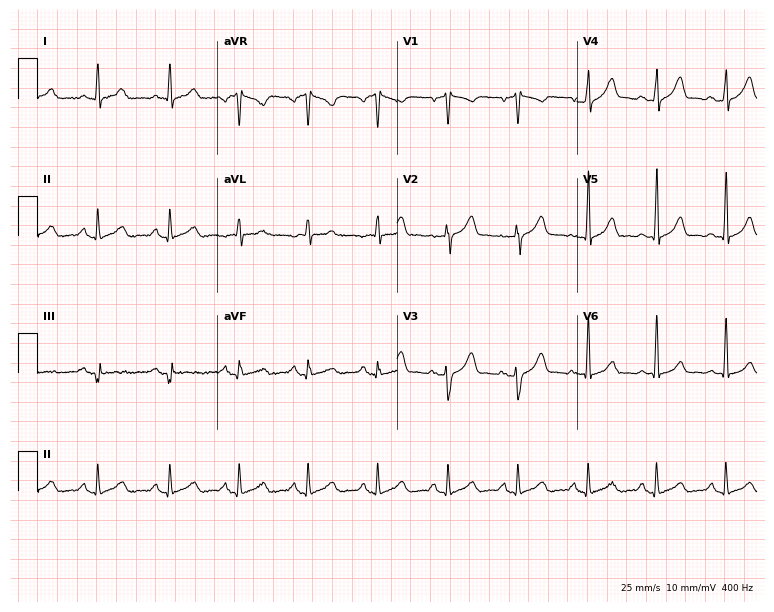
Electrocardiogram (7.3-second recording at 400 Hz), a 62-year-old man. Overall reading on record: normal ECG.